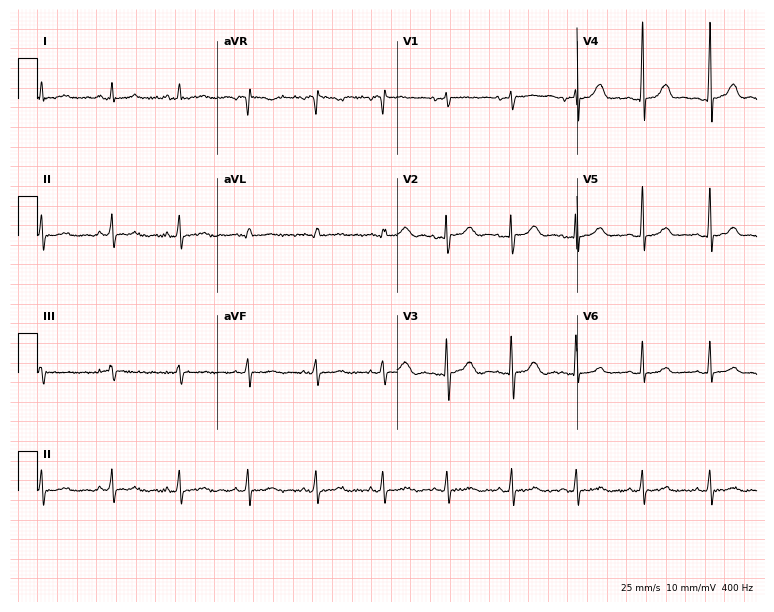
12-lead ECG (7.3-second recording at 400 Hz) from a 25-year-old female patient. Screened for six findings — first-degree AV block, right bundle branch block, left bundle branch block, sinus bradycardia, atrial fibrillation, sinus tachycardia — none is recorded.